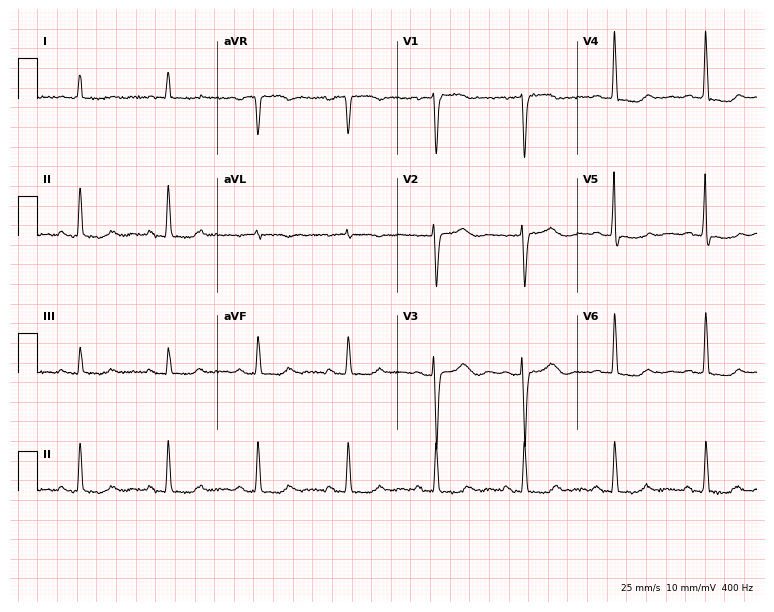
Electrocardiogram (7.3-second recording at 400 Hz), a 66-year-old woman. Of the six screened findings (first-degree AV block, right bundle branch block (RBBB), left bundle branch block (LBBB), sinus bradycardia, atrial fibrillation (AF), sinus tachycardia), none is recorded.